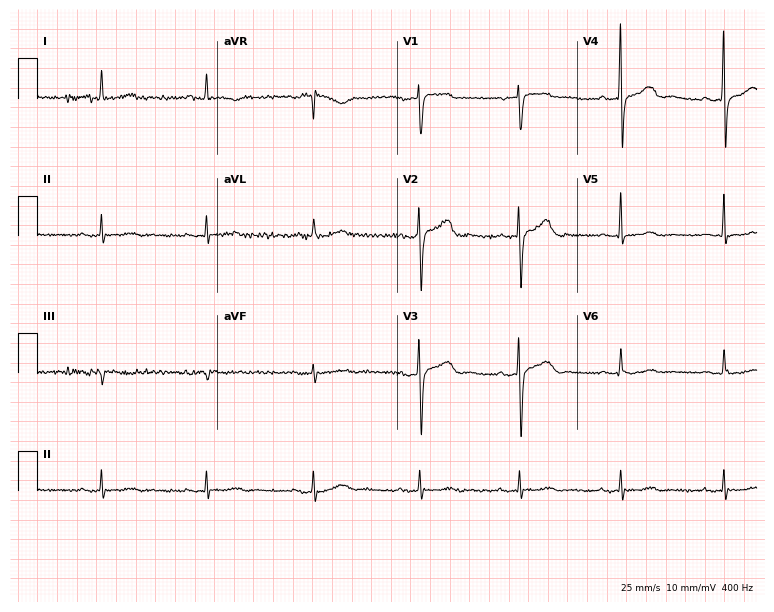
12-lead ECG (7.3-second recording at 400 Hz) from a male patient, 85 years old. Labelled as a normal ECG.